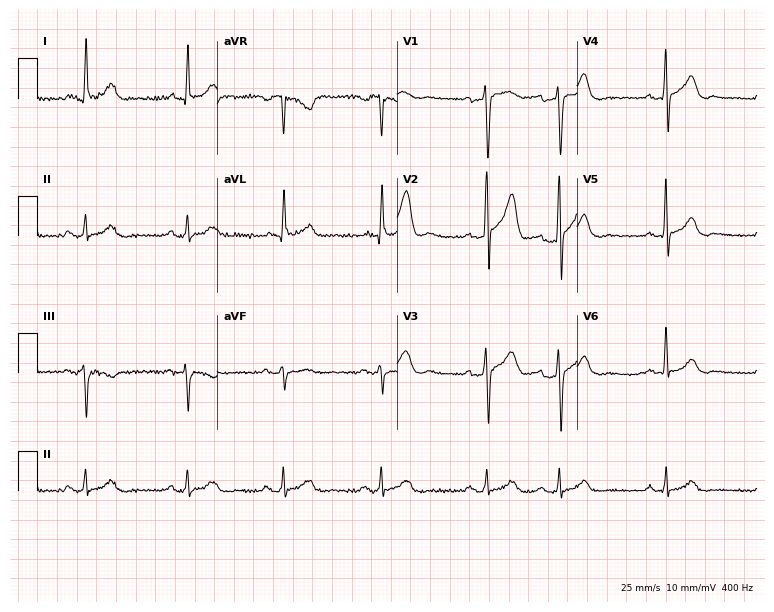
Standard 12-lead ECG recorded from a 65-year-old male patient (7.3-second recording at 400 Hz). None of these six findings is recorded: first-degree AV block, right bundle branch block (RBBB), left bundle branch block (LBBB), sinus bradycardia, atrial fibrillation (AF), sinus tachycardia.